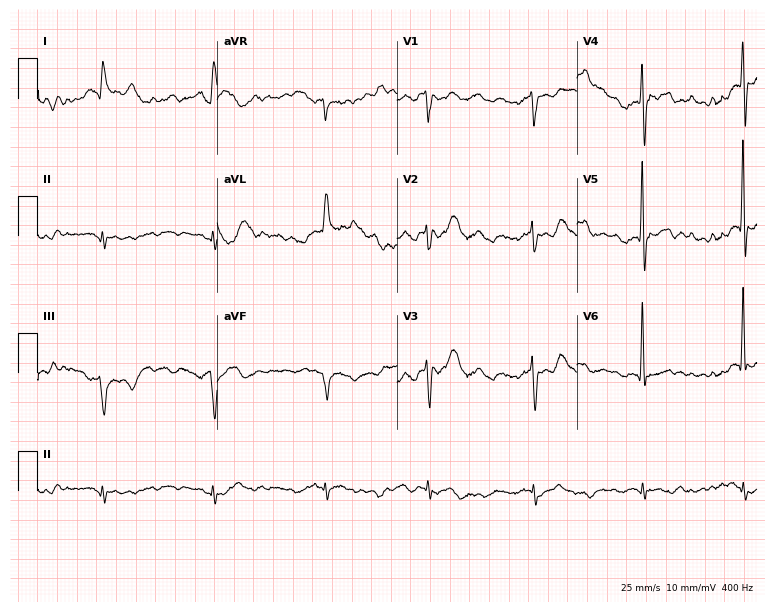
Electrocardiogram (7.3-second recording at 400 Hz), a 72-year-old female patient. Of the six screened findings (first-degree AV block, right bundle branch block, left bundle branch block, sinus bradycardia, atrial fibrillation, sinus tachycardia), none is recorded. Other findings, if any, are not listed.